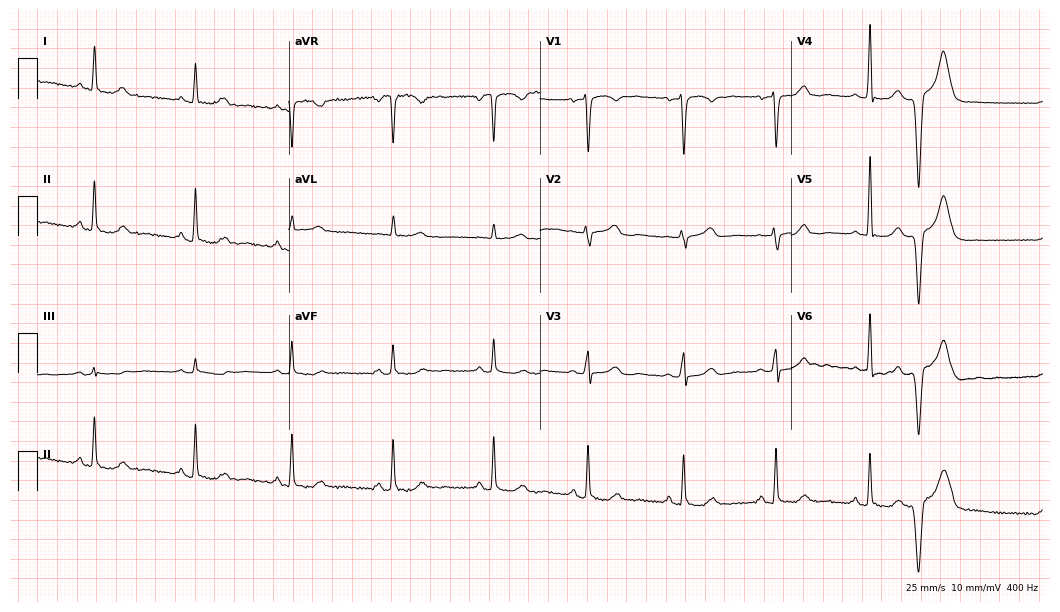
12-lead ECG from a female, 59 years old. Recorded interpretation: within normal limits.